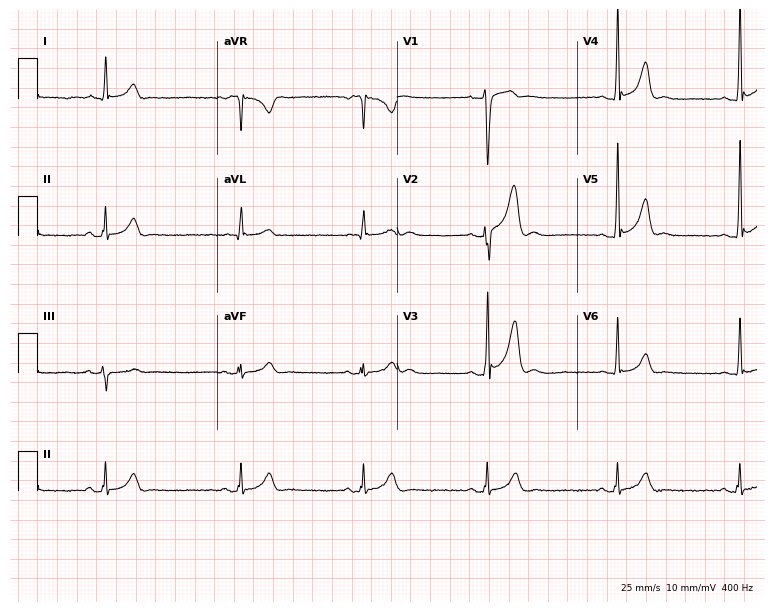
Electrocardiogram, a 33-year-old man. Of the six screened findings (first-degree AV block, right bundle branch block (RBBB), left bundle branch block (LBBB), sinus bradycardia, atrial fibrillation (AF), sinus tachycardia), none is recorded. Other findings, if any, are not listed.